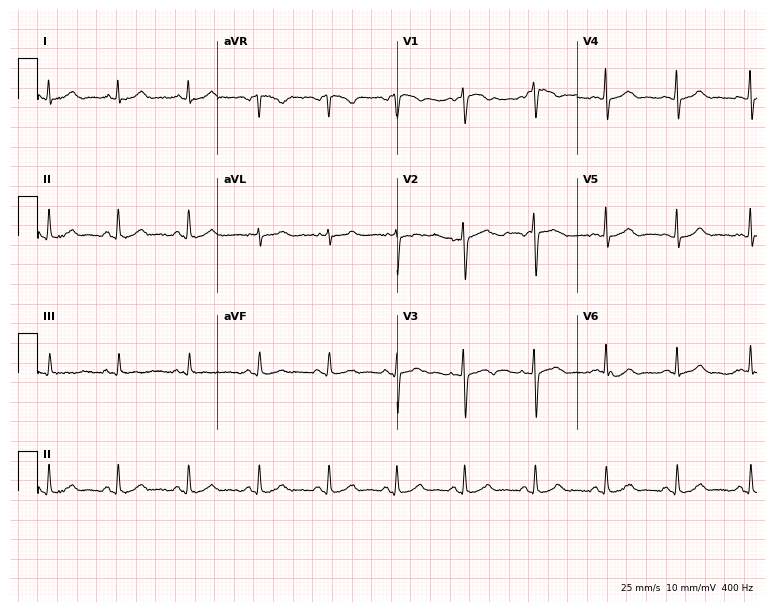
Resting 12-lead electrocardiogram (7.3-second recording at 400 Hz). Patient: a female, 38 years old. Read as a normal ECG.